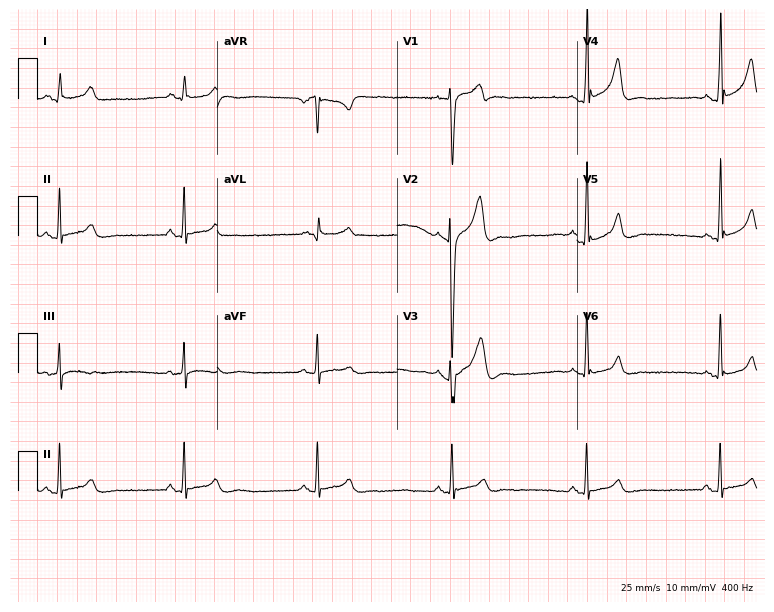
12-lead ECG from a 30-year-old male (7.3-second recording at 400 Hz). Shows sinus bradycardia (a sinus rate of 50 beats per minute or less).